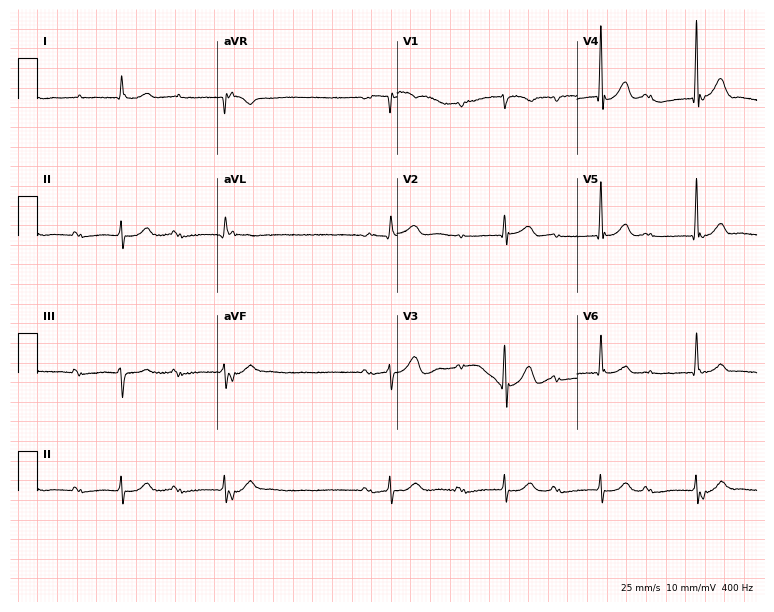
ECG — a female, 86 years old. Findings include first-degree AV block.